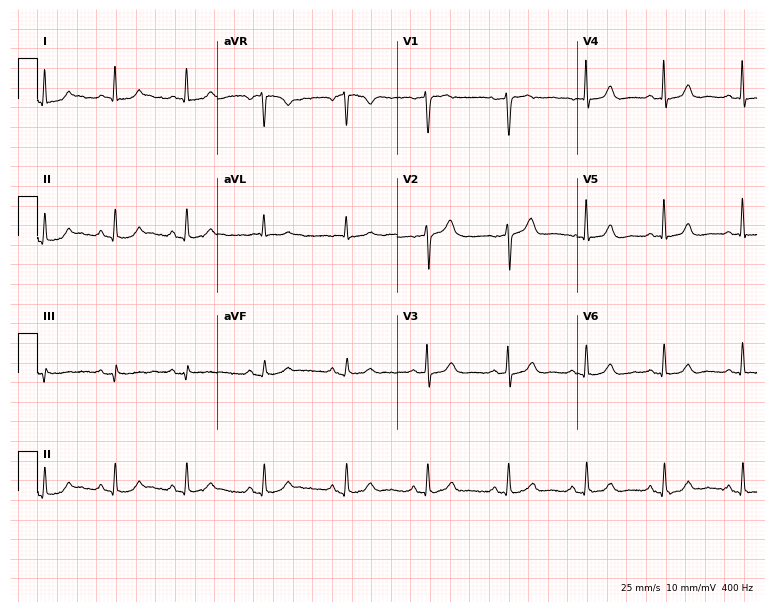
Standard 12-lead ECG recorded from a female, 61 years old. Read as a normal ECG.